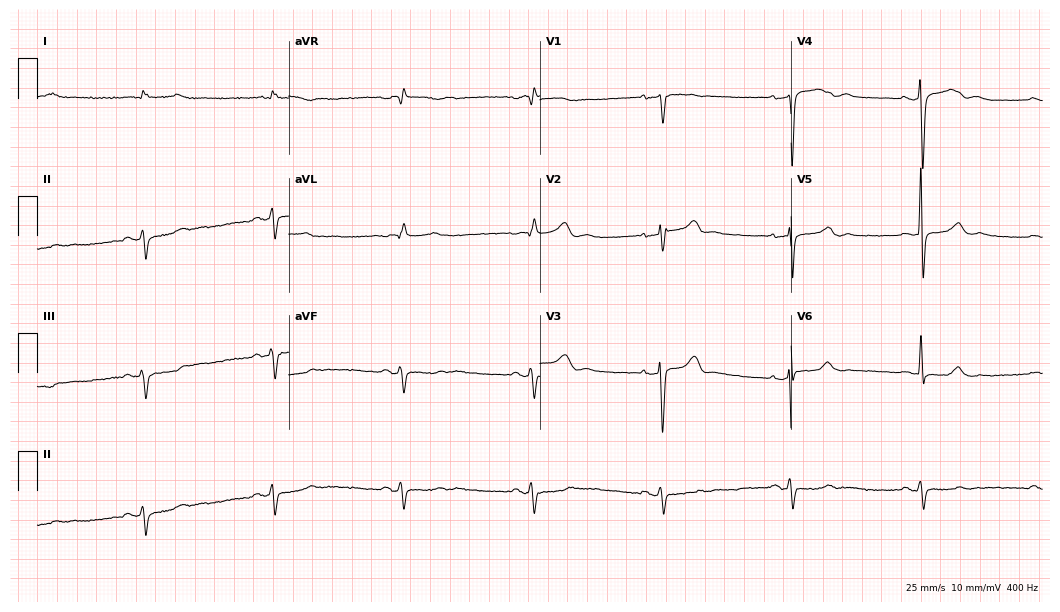
Electrocardiogram (10.2-second recording at 400 Hz), a man, 58 years old. Of the six screened findings (first-degree AV block, right bundle branch block, left bundle branch block, sinus bradycardia, atrial fibrillation, sinus tachycardia), none is recorded.